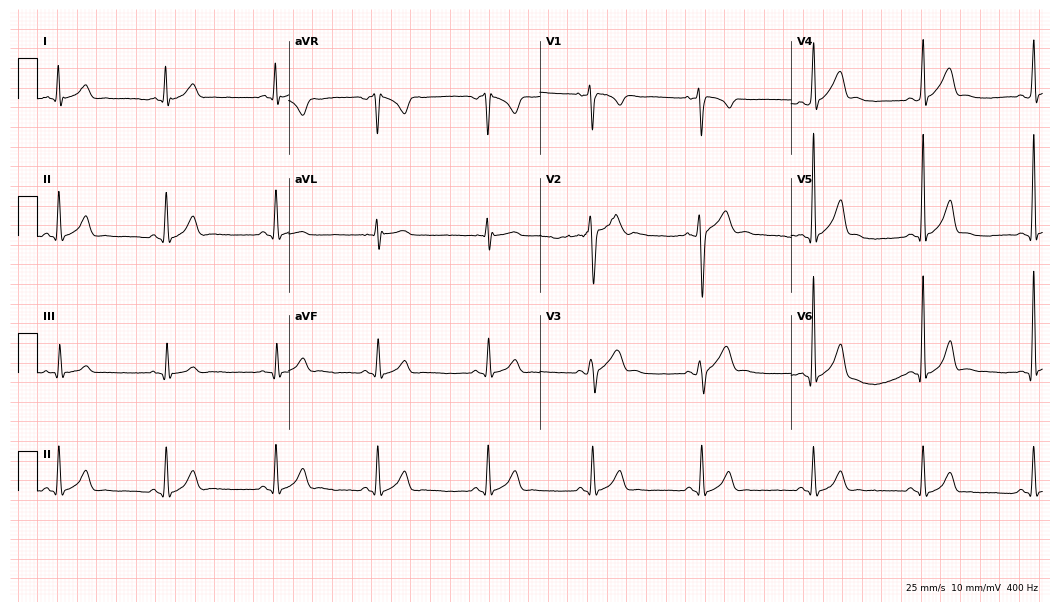
Electrocardiogram, a 25-year-old male patient. Of the six screened findings (first-degree AV block, right bundle branch block, left bundle branch block, sinus bradycardia, atrial fibrillation, sinus tachycardia), none is recorded.